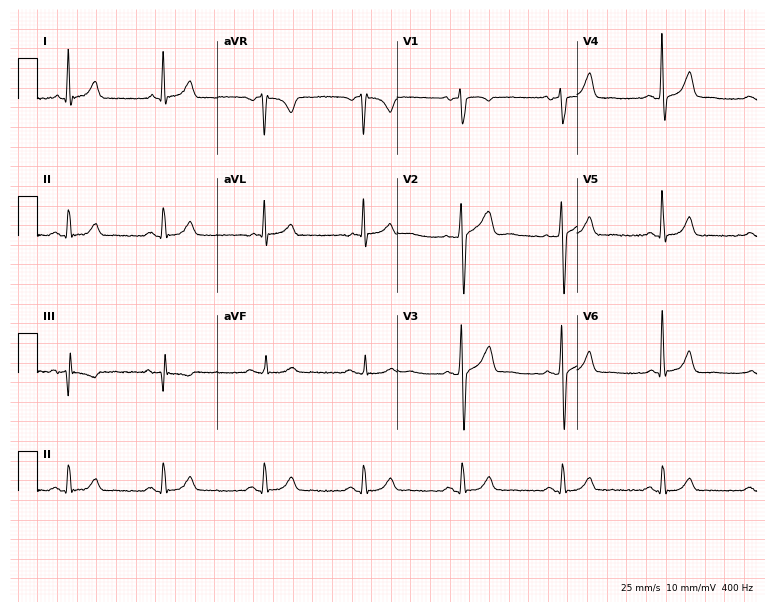
12-lead ECG from a 66-year-old man (7.3-second recording at 400 Hz). Recorded interpretation: within normal limits.